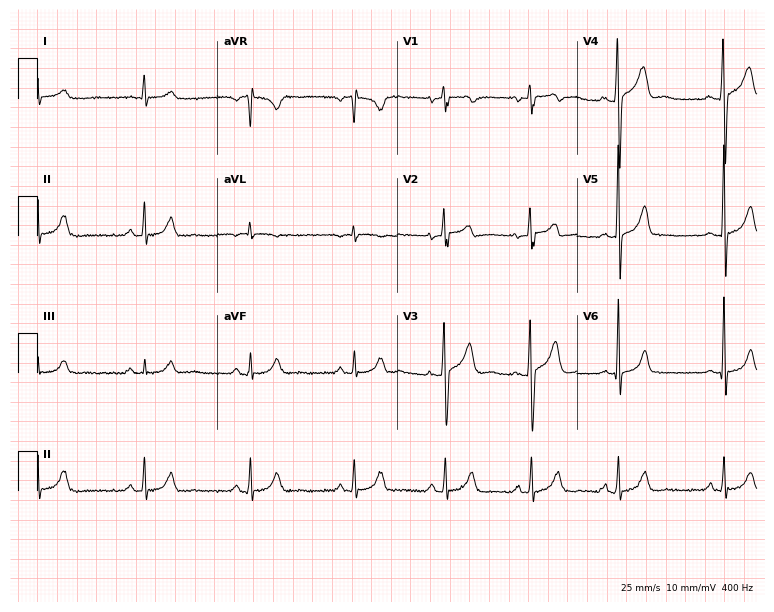
Resting 12-lead electrocardiogram (7.3-second recording at 400 Hz). Patient: a man, 31 years old. Read as a normal ECG.